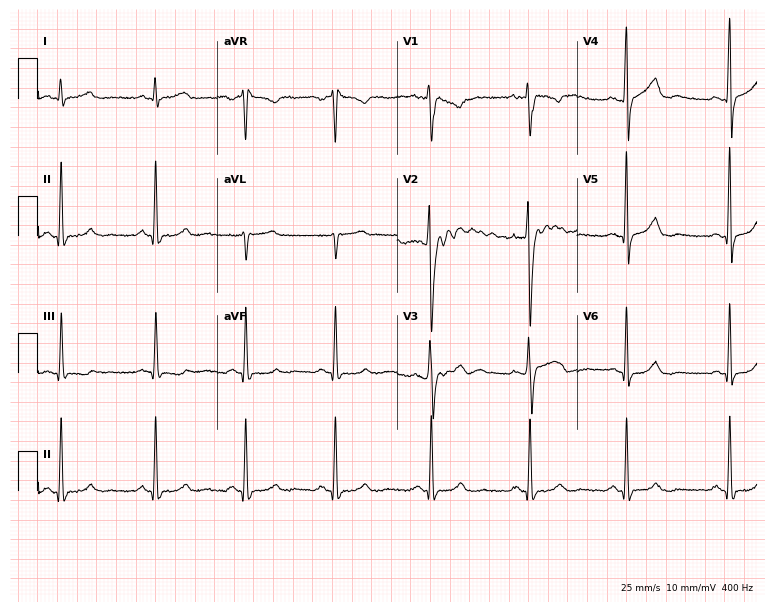
Electrocardiogram, a male, 40 years old. Of the six screened findings (first-degree AV block, right bundle branch block, left bundle branch block, sinus bradycardia, atrial fibrillation, sinus tachycardia), none is recorded. Findings outside these six are not listed.